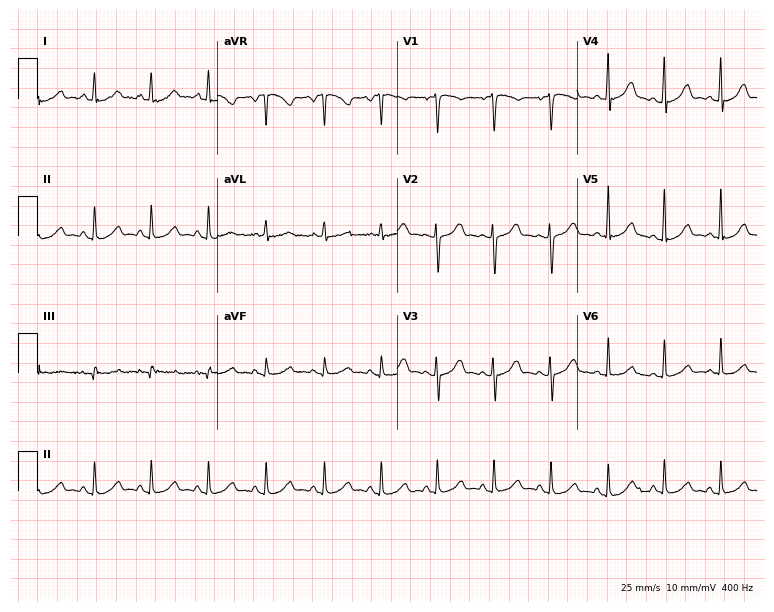
Resting 12-lead electrocardiogram (7.3-second recording at 400 Hz). Patient: a 39-year-old female. The tracing shows sinus tachycardia (a sinus rate of 100 beats per minute or more).